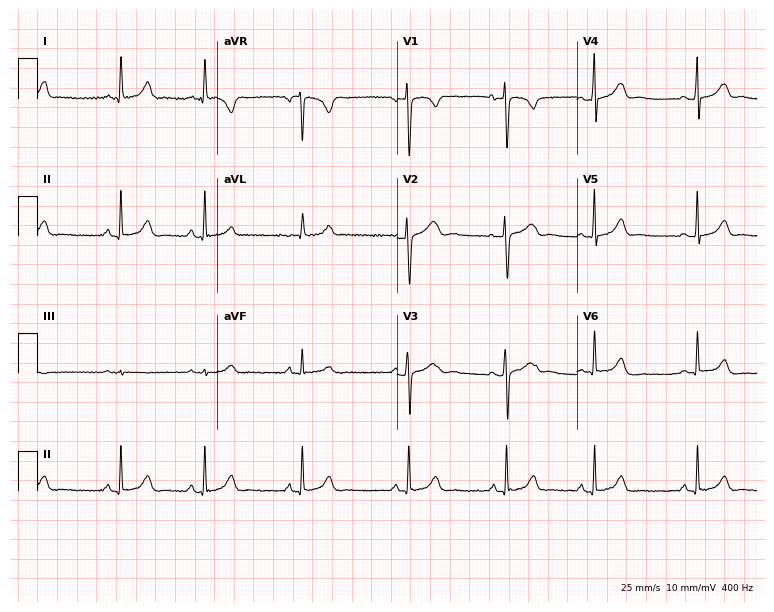
Electrocardiogram, a 17-year-old woman. Overall reading on record: normal ECG.